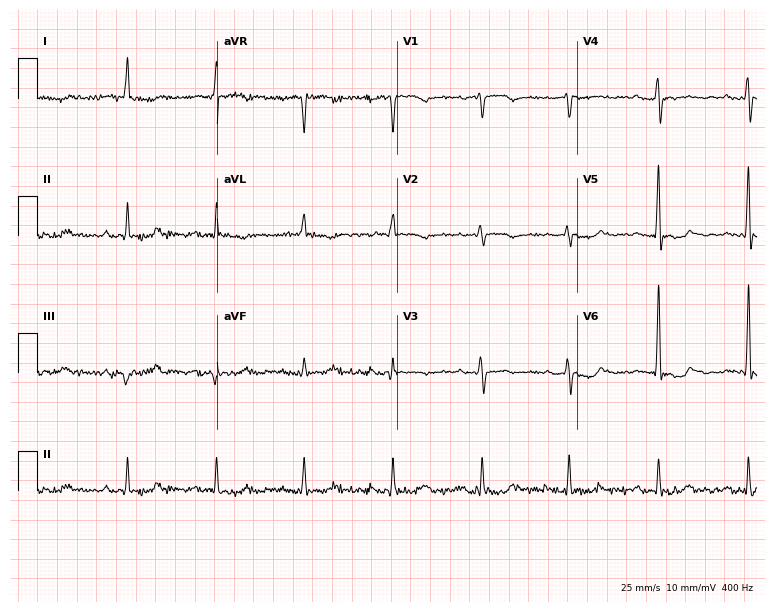
12-lead ECG (7.3-second recording at 400 Hz) from a woman, 71 years old. Findings include first-degree AV block.